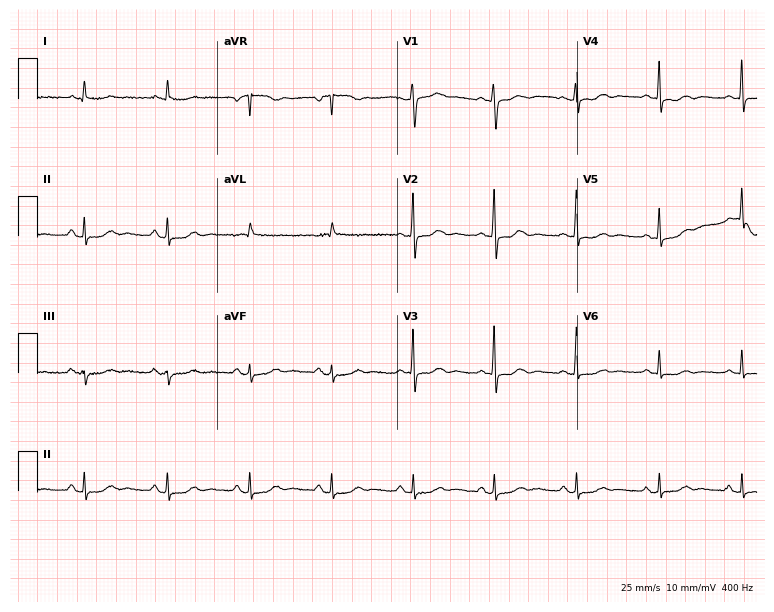
Electrocardiogram, a 67-year-old woman. Overall reading on record: normal ECG.